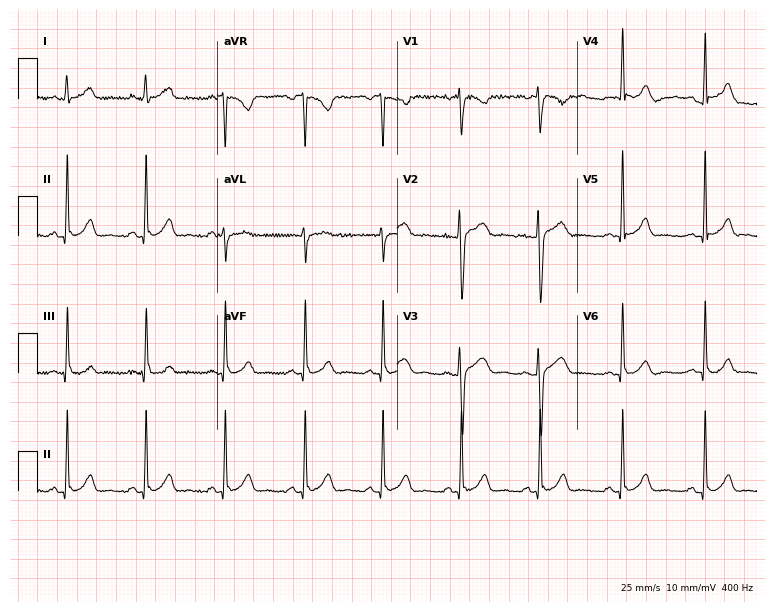
12-lead ECG from a female patient, 34 years old (7.3-second recording at 400 Hz). No first-degree AV block, right bundle branch block, left bundle branch block, sinus bradycardia, atrial fibrillation or sinus tachycardia recorded for this tracing.